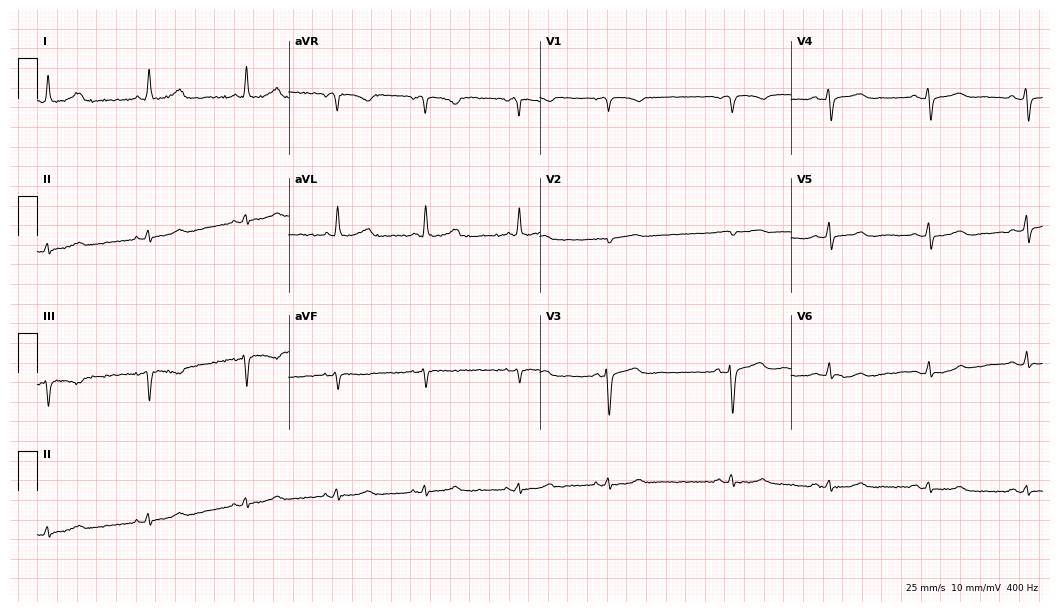
Standard 12-lead ECG recorded from a 60-year-old female patient (10.2-second recording at 400 Hz). None of these six findings is recorded: first-degree AV block, right bundle branch block (RBBB), left bundle branch block (LBBB), sinus bradycardia, atrial fibrillation (AF), sinus tachycardia. Only these six findings were labelled.